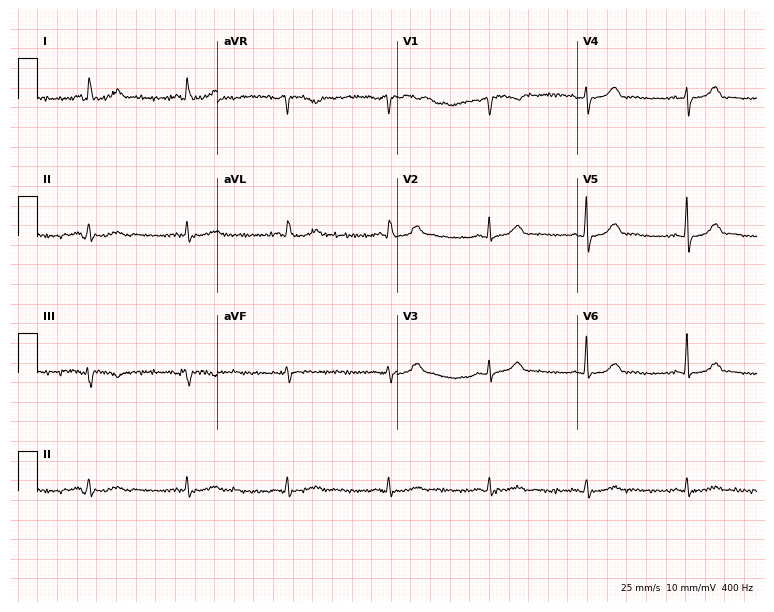
Resting 12-lead electrocardiogram (7.3-second recording at 400 Hz). Patient: a 53-year-old female. None of these six findings is recorded: first-degree AV block, right bundle branch block, left bundle branch block, sinus bradycardia, atrial fibrillation, sinus tachycardia.